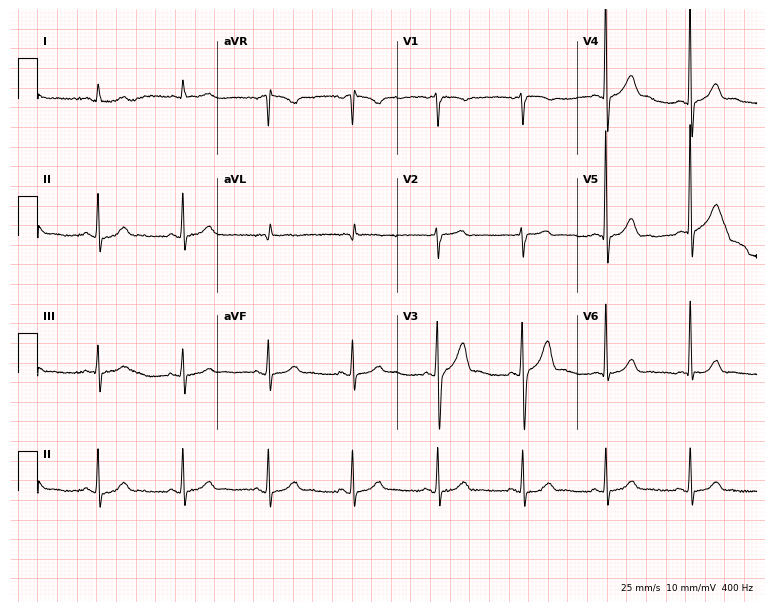
Electrocardiogram (7.3-second recording at 400 Hz), a male patient, 78 years old. Overall reading on record: normal ECG.